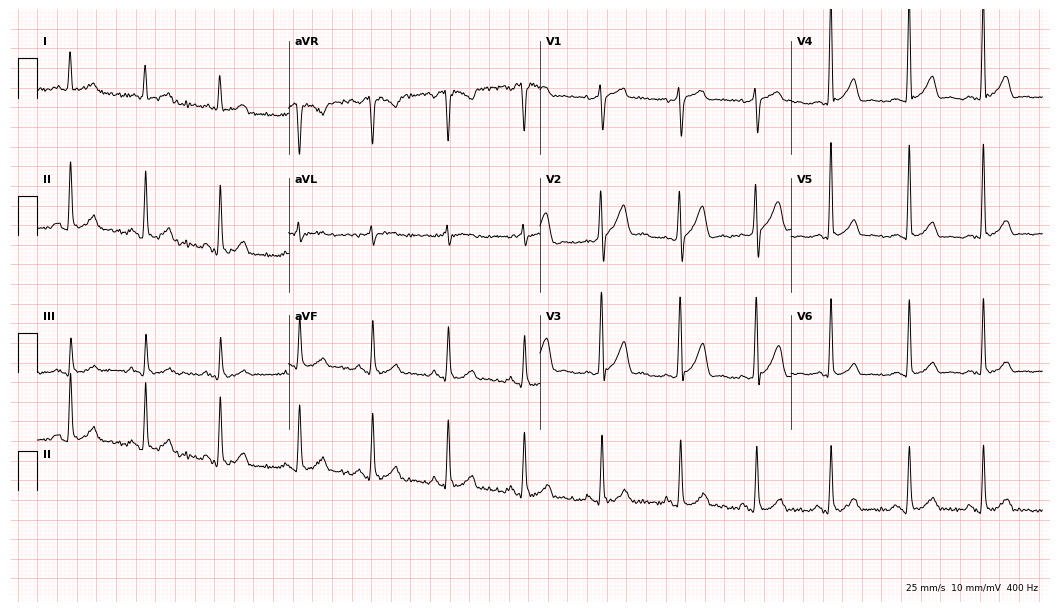
Electrocardiogram (10.2-second recording at 400 Hz), a 64-year-old male. Overall reading on record: normal ECG.